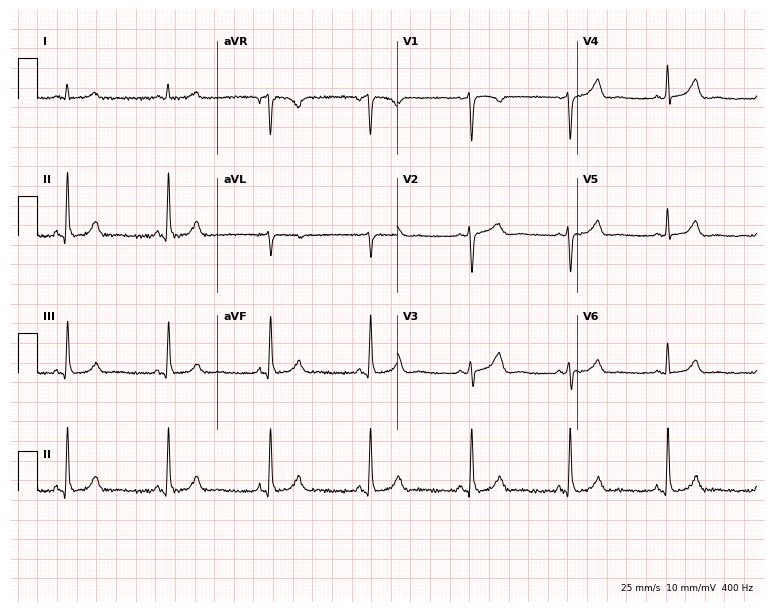
Standard 12-lead ECG recorded from a female, 50 years old. Read as a normal ECG.